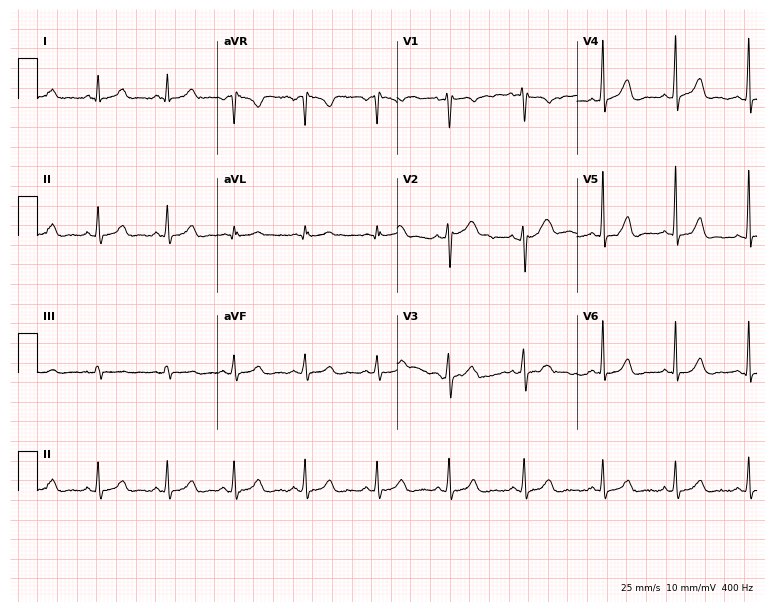
Electrocardiogram, a female, 41 years old. Overall reading on record: normal ECG.